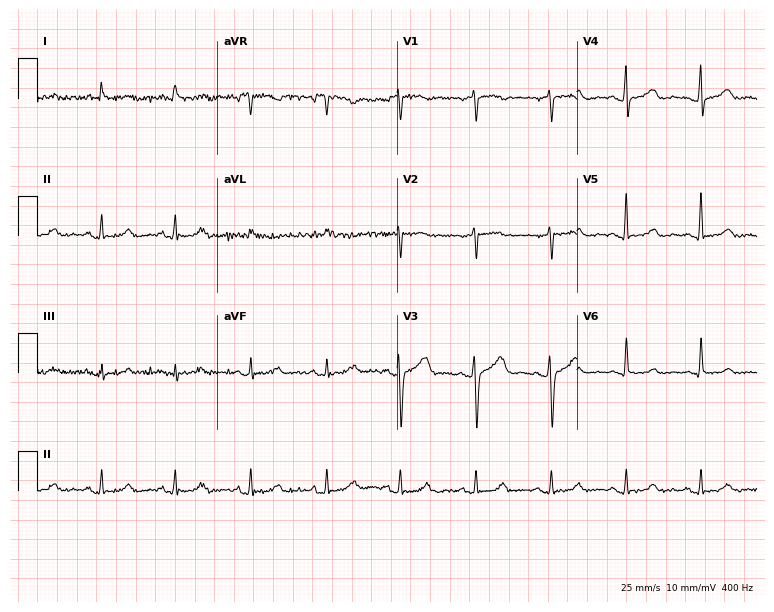
Standard 12-lead ECG recorded from a 54-year-old female. Read as a normal ECG.